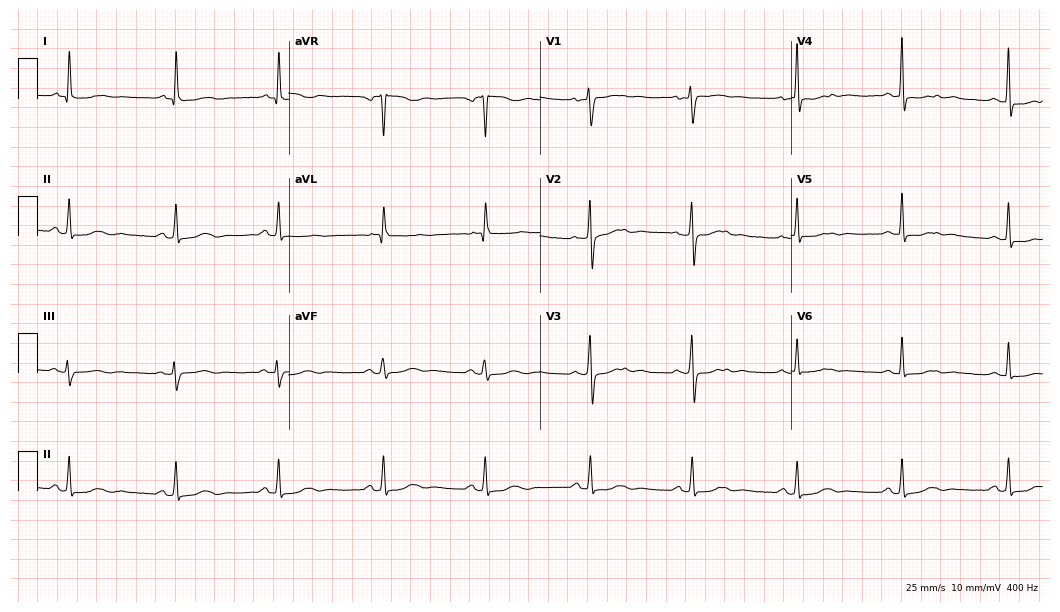
ECG — a female, 69 years old. Screened for six findings — first-degree AV block, right bundle branch block, left bundle branch block, sinus bradycardia, atrial fibrillation, sinus tachycardia — none is recorded.